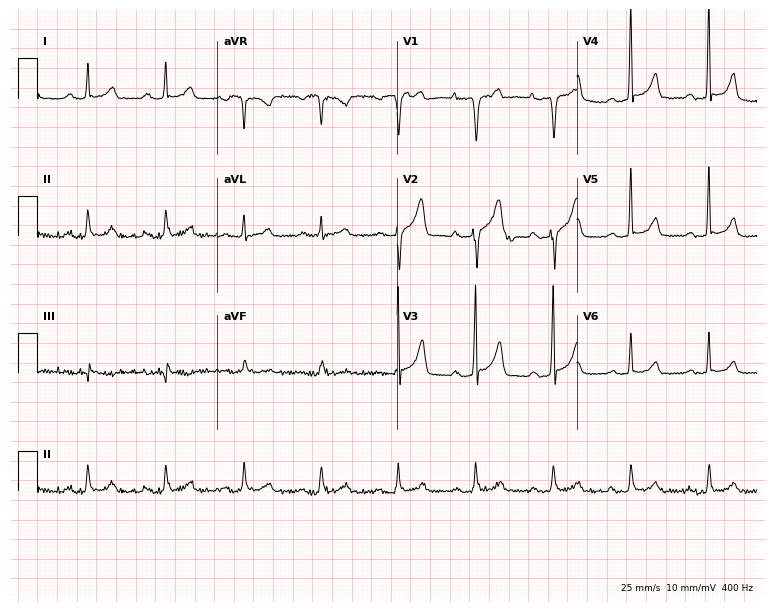
Resting 12-lead electrocardiogram. Patient: a male, 82 years old. Read as a normal ECG.